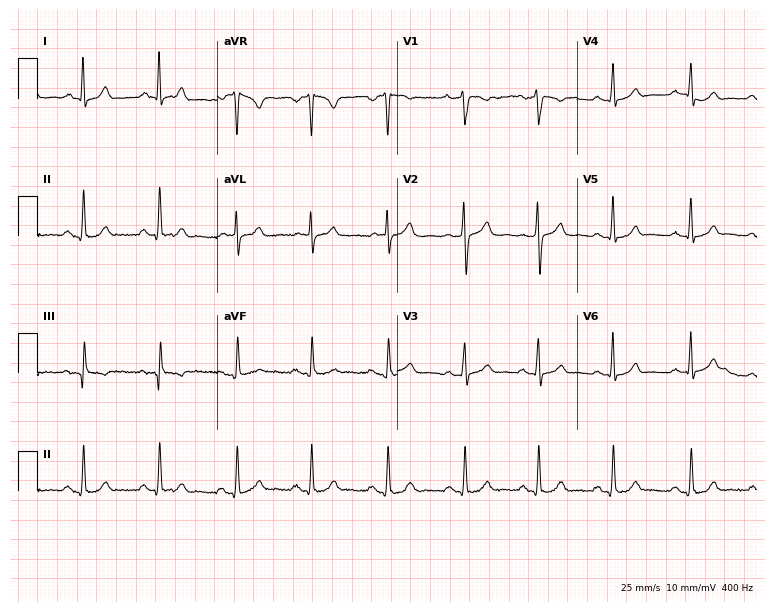
12-lead ECG (7.3-second recording at 400 Hz) from a 31-year-old male. Labelled as a normal ECG.